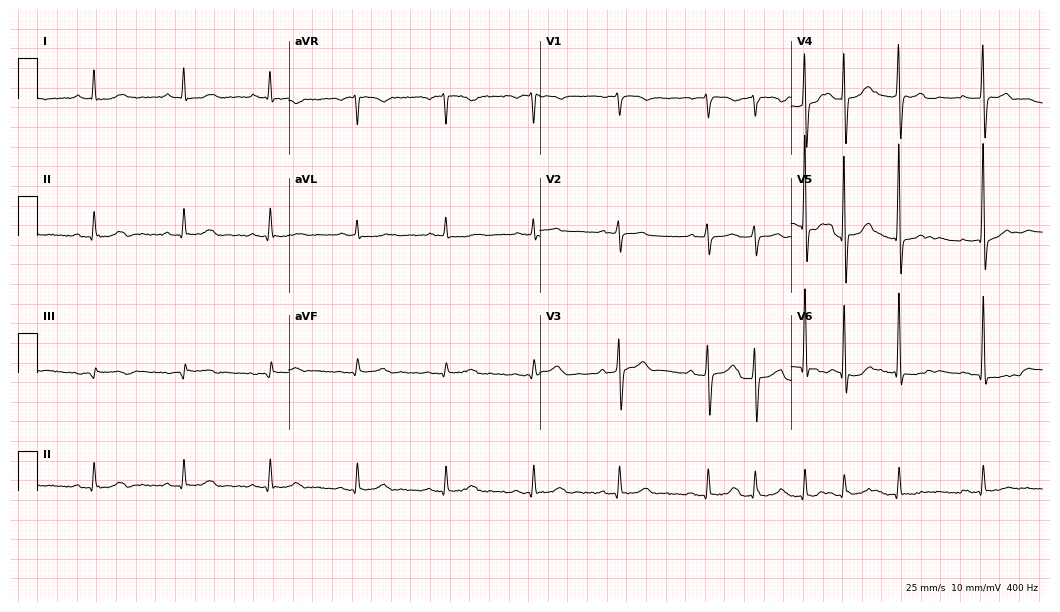
12-lead ECG from a male, 72 years old. Screened for six findings — first-degree AV block, right bundle branch block, left bundle branch block, sinus bradycardia, atrial fibrillation, sinus tachycardia — none is recorded. Other findings, if any, are not listed.